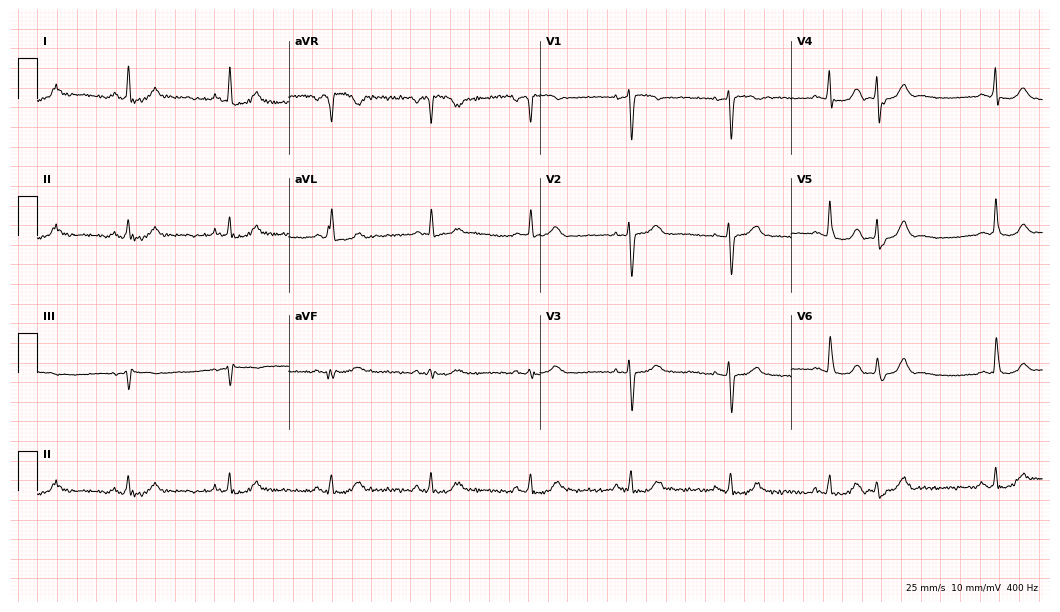
Resting 12-lead electrocardiogram. Patient: a 73-year-old female. None of these six findings is recorded: first-degree AV block, right bundle branch block, left bundle branch block, sinus bradycardia, atrial fibrillation, sinus tachycardia.